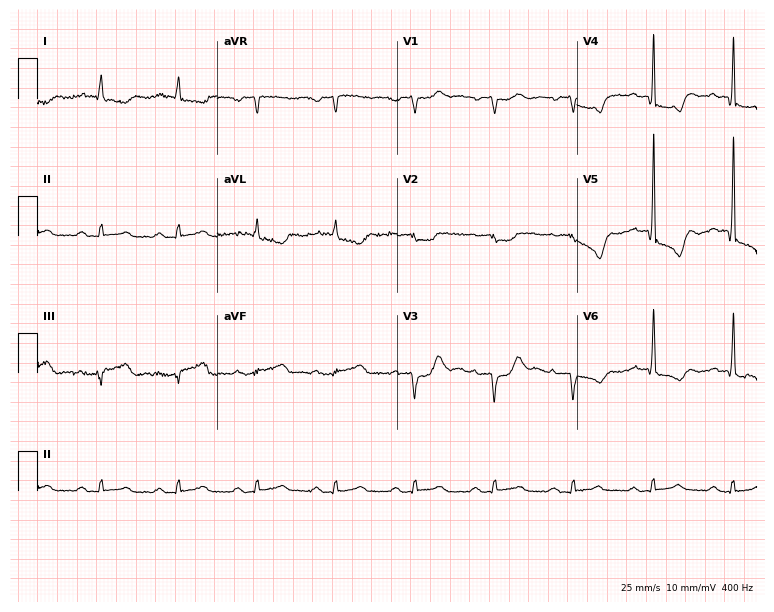
ECG (7.3-second recording at 400 Hz) — a man, 71 years old. Findings include first-degree AV block.